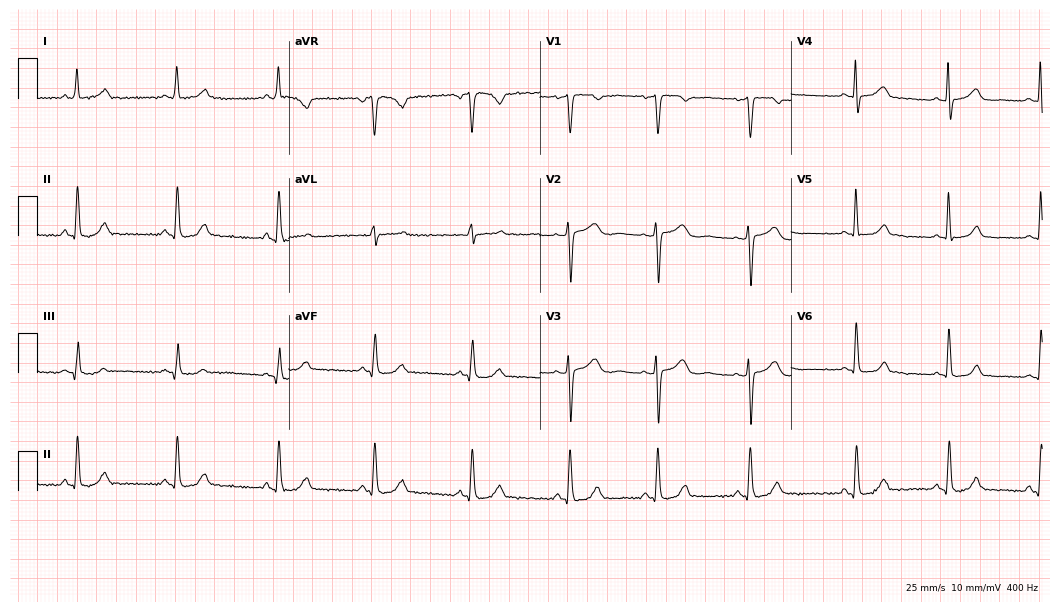
Standard 12-lead ECG recorded from a female, 42 years old (10.2-second recording at 400 Hz). None of these six findings is recorded: first-degree AV block, right bundle branch block, left bundle branch block, sinus bradycardia, atrial fibrillation, sinus tachycardia.